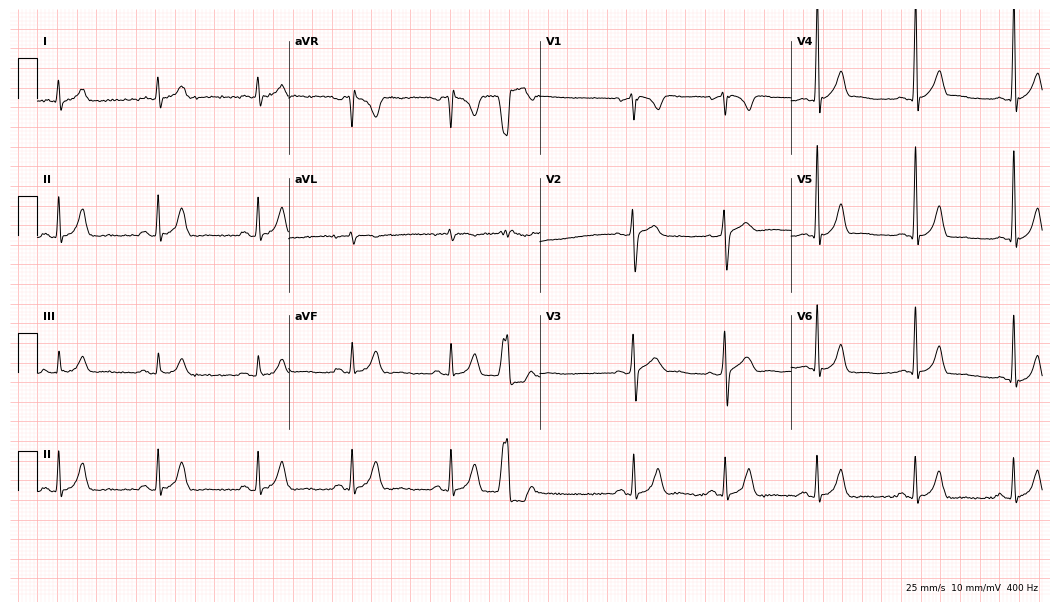
12-lead ECG from a male, 29 years old. No first-degree AV block, right bundle branch block, left bundle branch block, sinus bradycardia, atrial fibrillation or sinus tachycardia recorded for this tracing.